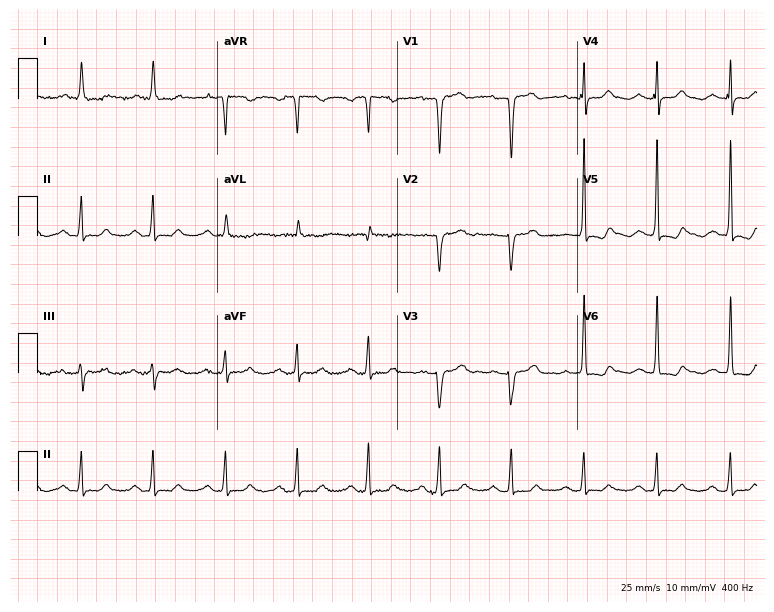
Resting 12-lead electrocardiogram (7.3-second recording at 400 Hz). Patient: a 72-year-old female. None of these six findings is recorded: first-degree AV block, right bundle branch block (RBBB), left bundle branch block (LBBB), sinus bradycardia, atrial fibrillation (AF), sinus tachycardia.